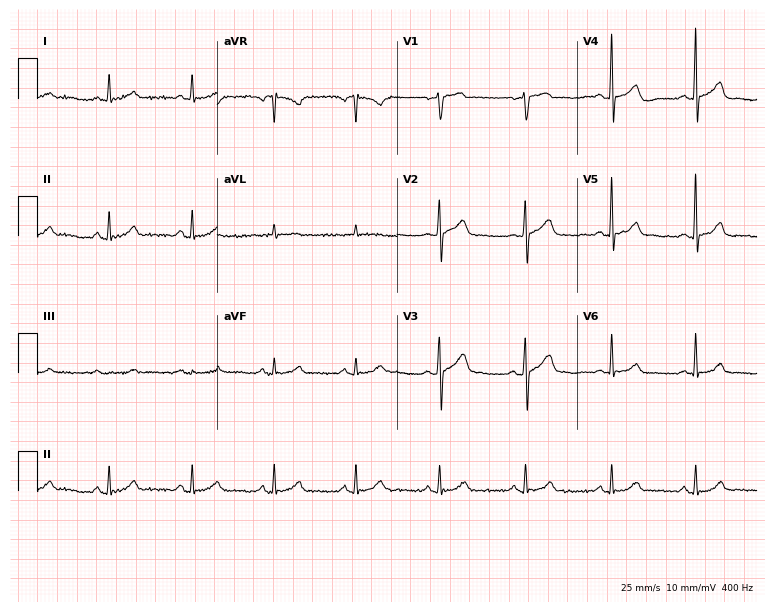
12-lead ECG (7.3-second recording at 400 Hz) from a woman, 58 years old. Screened for six findings — first-degree AV block, right bundle branch block, left bundle branch block, sinus bradycardia, atrial fibrillation, sinus tachycardia — none is recorded.